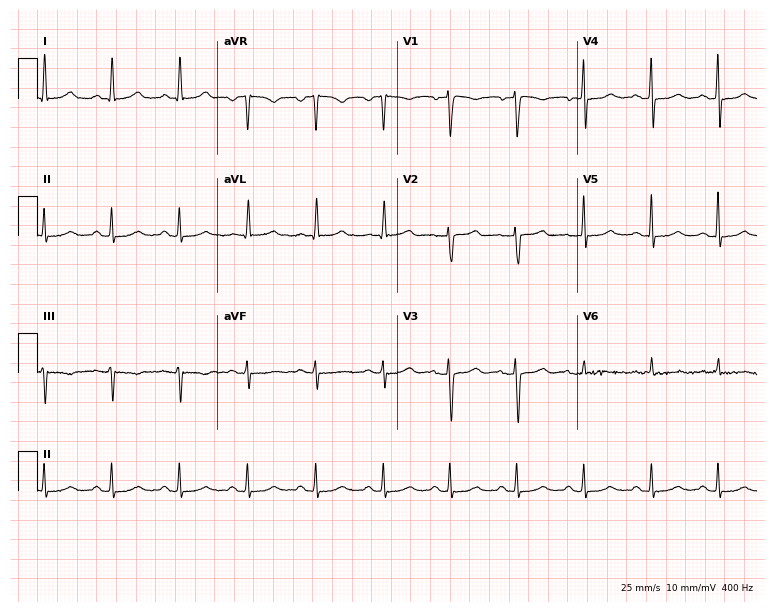
12-lead ECG (7.3-second recording at 400 Hz) from a woman, 51 years old. Screened for six findings — first-degree AV block, right bundle branch block, left bundle branch block, sinus bradycardia, atrial fibrillation, sinus tachycardia — none is recorded. Only these six findings were labelled.